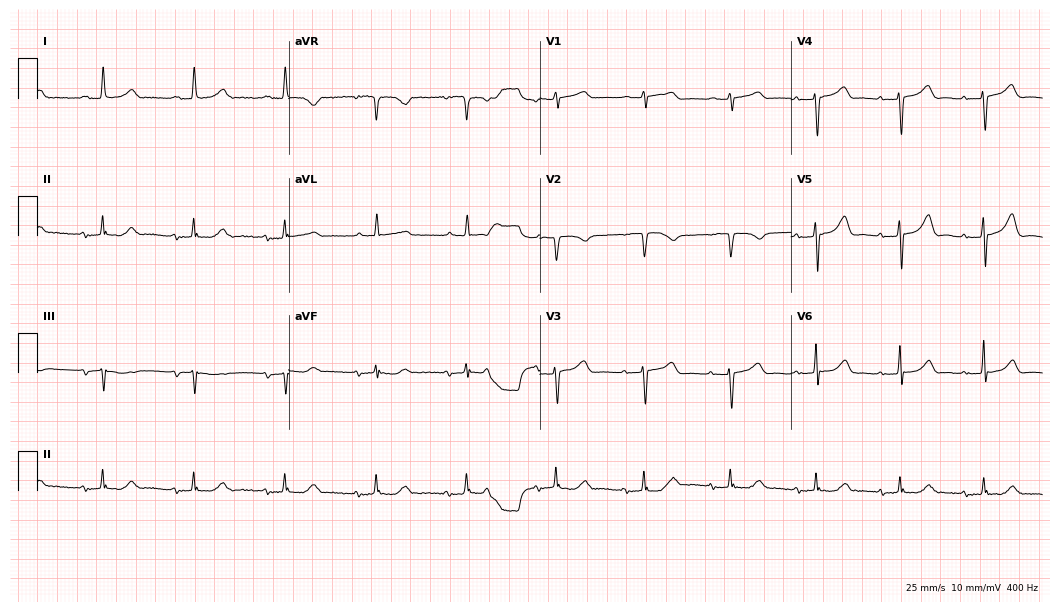
12-lead ECG (10.2-second recording at 400 Hz) from an 83-year-old female patient. Labelled as a normal ECG.